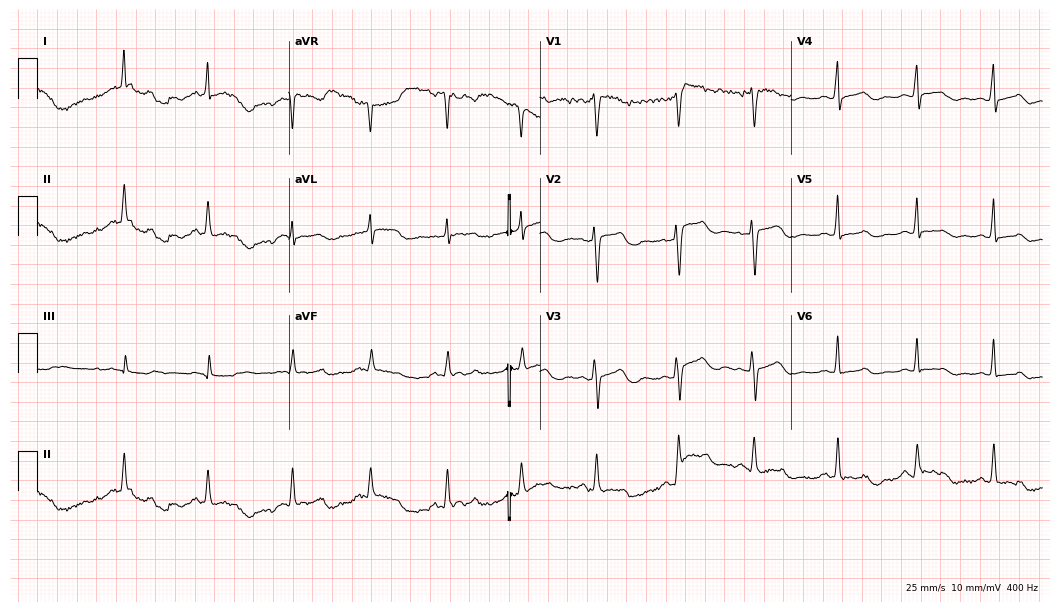
ECG — a 49-year-old female patient. Screened for six findings — first-degree AV block, right bundle branch block, left bundle branch block, sinus bradycardia, atrial fibrillation, sinus tachycardia — none is recorded.